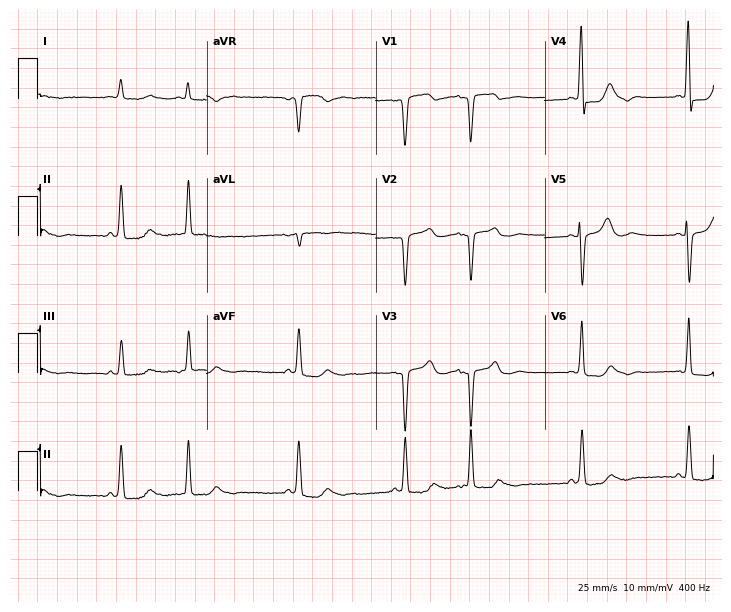
12-lead ECG from a 74-year-old woman (6.9-second recording at 400 Hz). No first-degree AV block, right bundle branch block, left bundle branch block, sinus bradycardia, atrial fibrillation or sinus tachycardia recorded for this tracing.